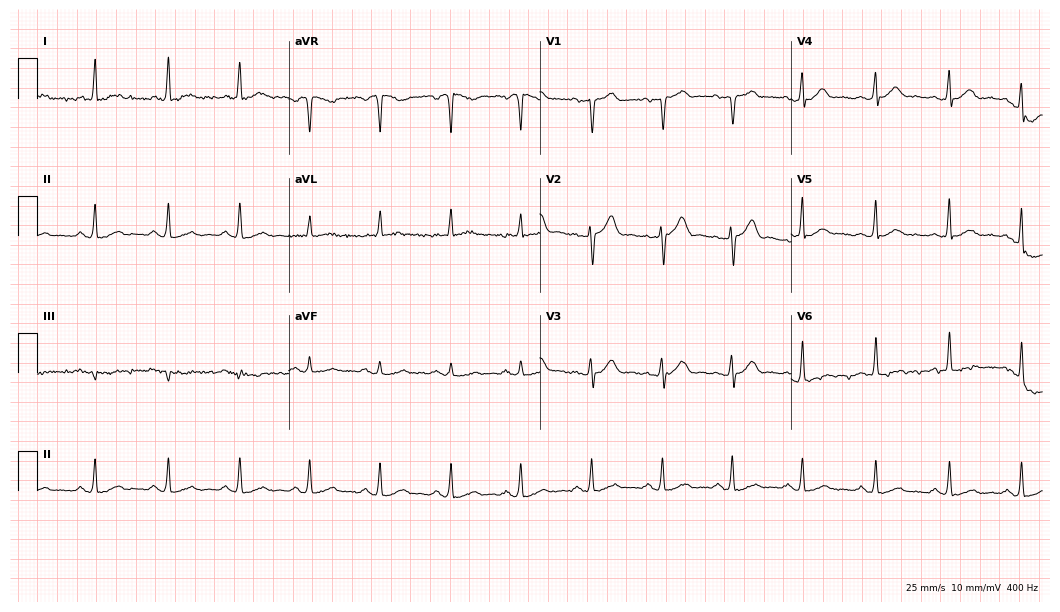
Standard 12-lead ECG recorded from a male, 38 years old (10.2-second recording at 400 Hz). Read as a normal ECG.